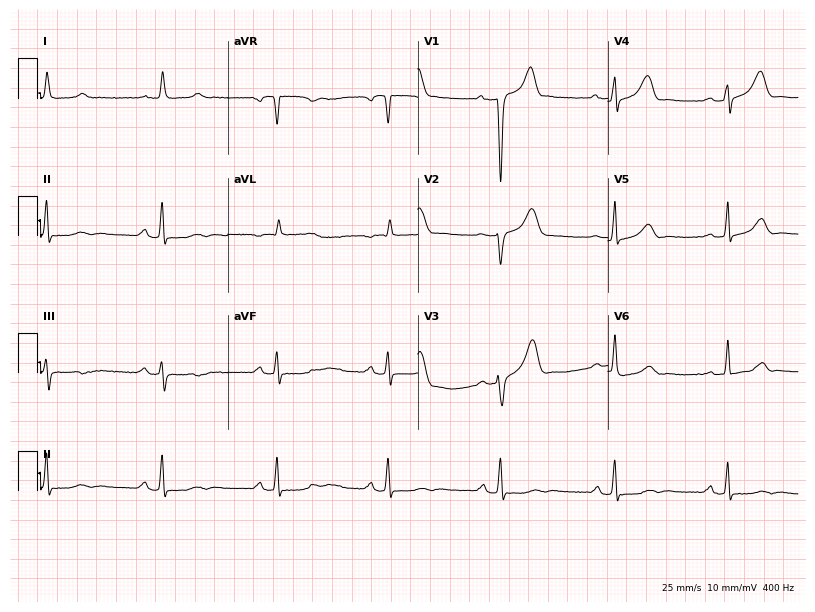
ECG (7.8-second recording at 400 Hz) — a 70-year-old male patient. Screened for six findings — first-degree AV block, right bundle branch block (RBBB), left bundle branch block (LBBB), sinus bradycardia, atrial fibrillation (AF), sinus tachycardia — none is recorded.